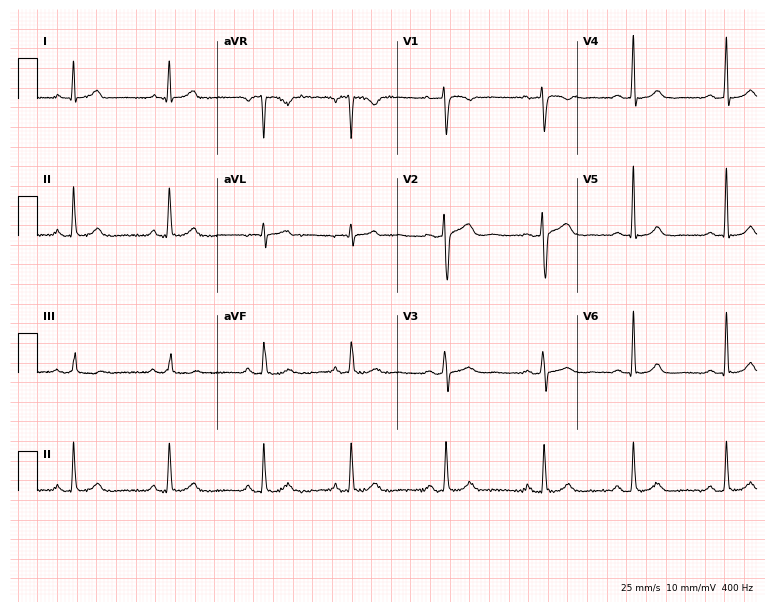
Electrocardiogram, a woman, 28 years old. Of the six screened findings (first-degree AV block, right bundle branch block (RBBB), left bundle branch block (LBBB), sinus bradycardia, atrial fibrillation (AF), sinus tachycardia), none is recorded. Findings outside these six are not listed.